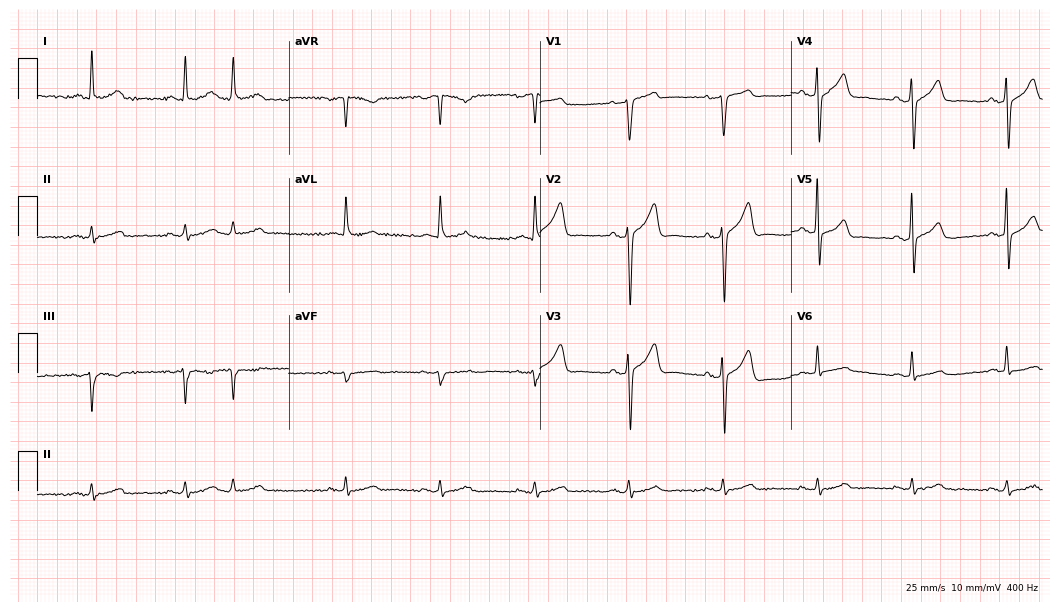
12-lead ECG (10.2-second recording at 400 Hz) from a male patient, 70 years old. Labelled as a normal ECG.